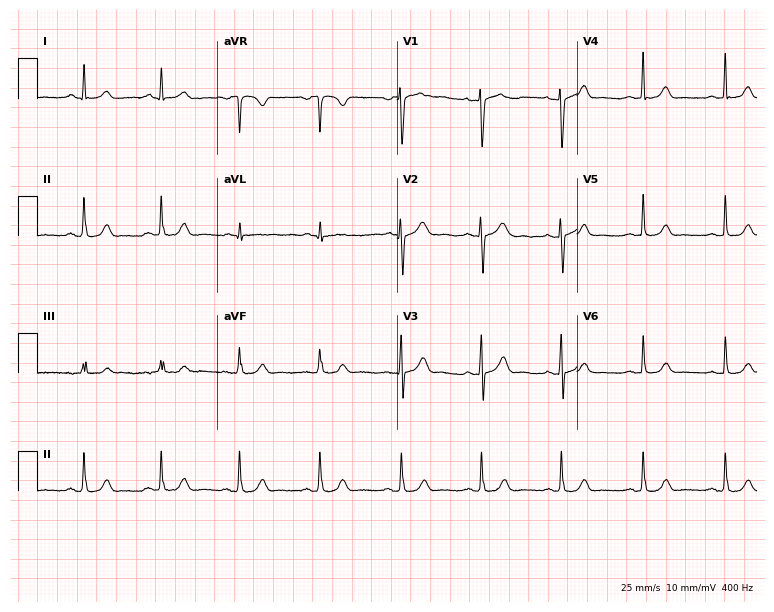
12-lead ECG from a 29-year-old woman. Recorded interpretation: within normal limits.